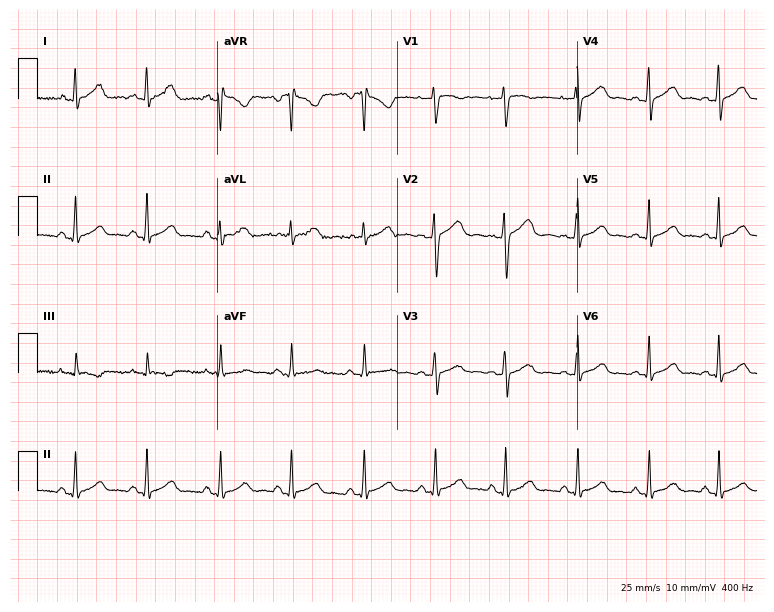
12-lead ECG from a female, 27 years old (7.3-second recording at 400 Hz). Recorded interpretation: within normal limits.